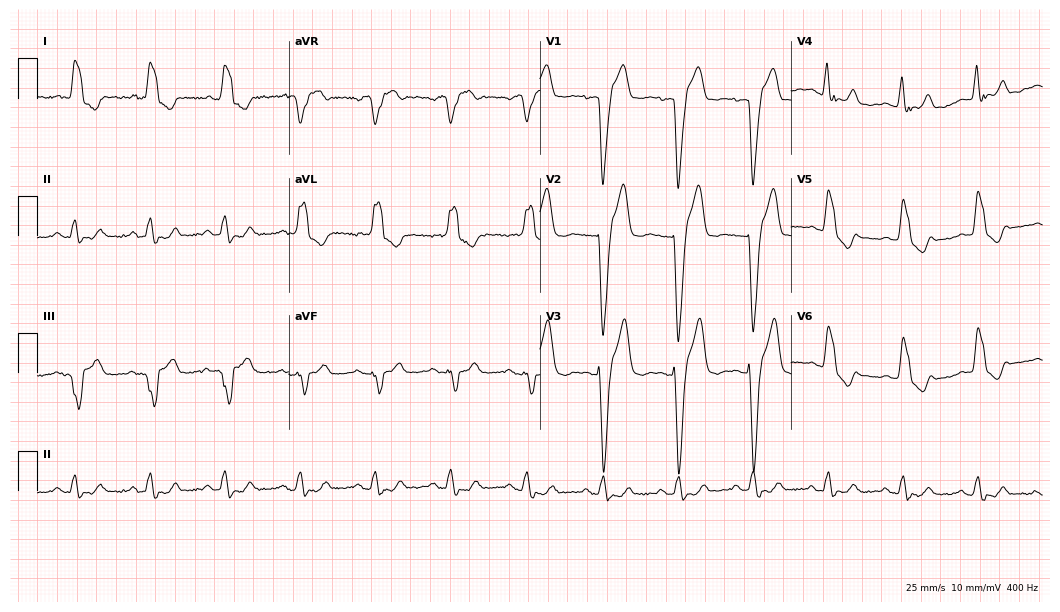
12-lead ECG (10.2-second recording at 400 Hz) from a female, 74 years old. Findings include left bundle branch block.